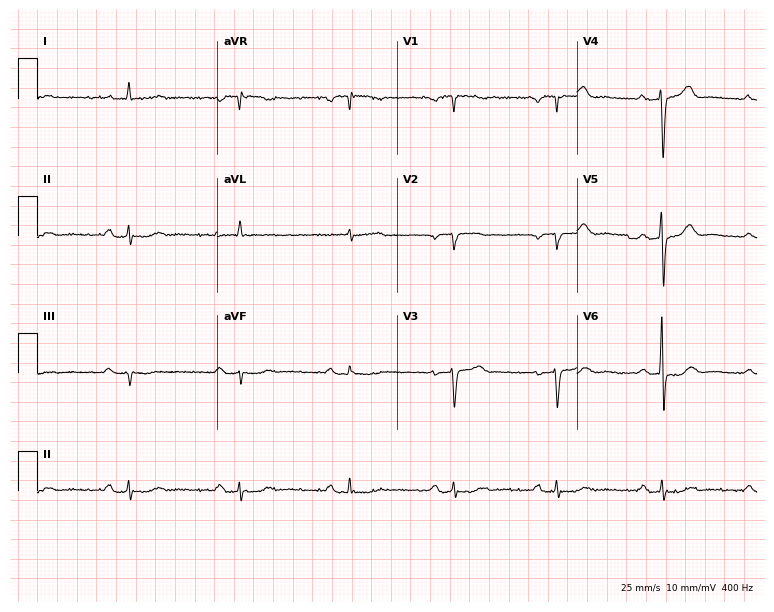
Standard 12-lead ECG recorded from a 70-year-old man (7.3-second recording at 400 Hz). None of these six findings is recorded: first-degree AV block, right bundle branch block, left bundle branch block, sinus bradycardia, atrial fibrillation, sinus tachycardia.